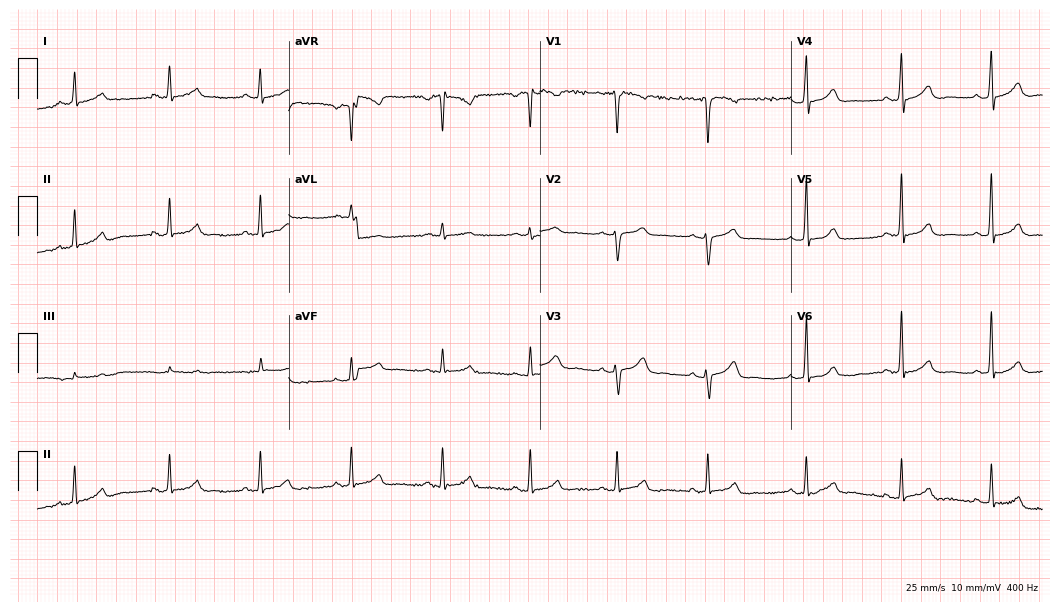
12-lead ECG from a male patient, 44 years old. Labelled as a normal ECG.